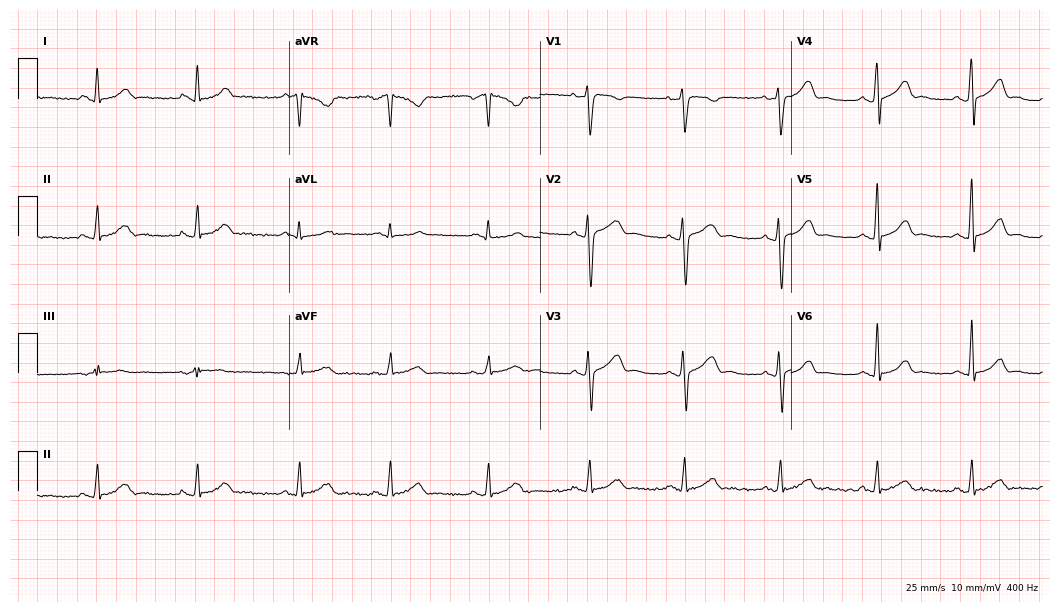
12-lead ECG from a female patient, 36 years old (10.2-second recording at 400 Hz). Recorded interpretation: within normal limits.